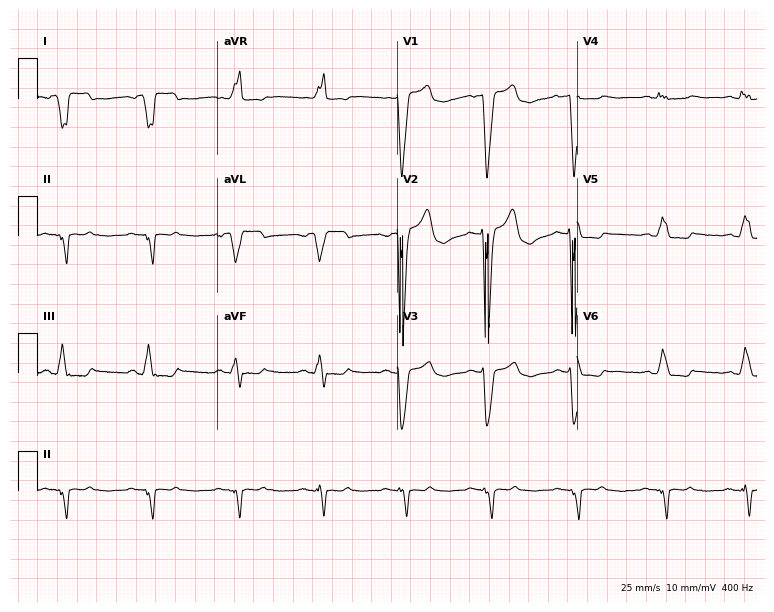
Resting 12-lead electrocardiogram. Patient: a female, 44 years old. None of these six findings is recorded: first-degree AV block, right bundle branch block (RBBB), left bundle branch block (LBBB), sinus bradycardia, atrial fibrillation (AF), sinus tachycardia. Only these six findings were labelled.